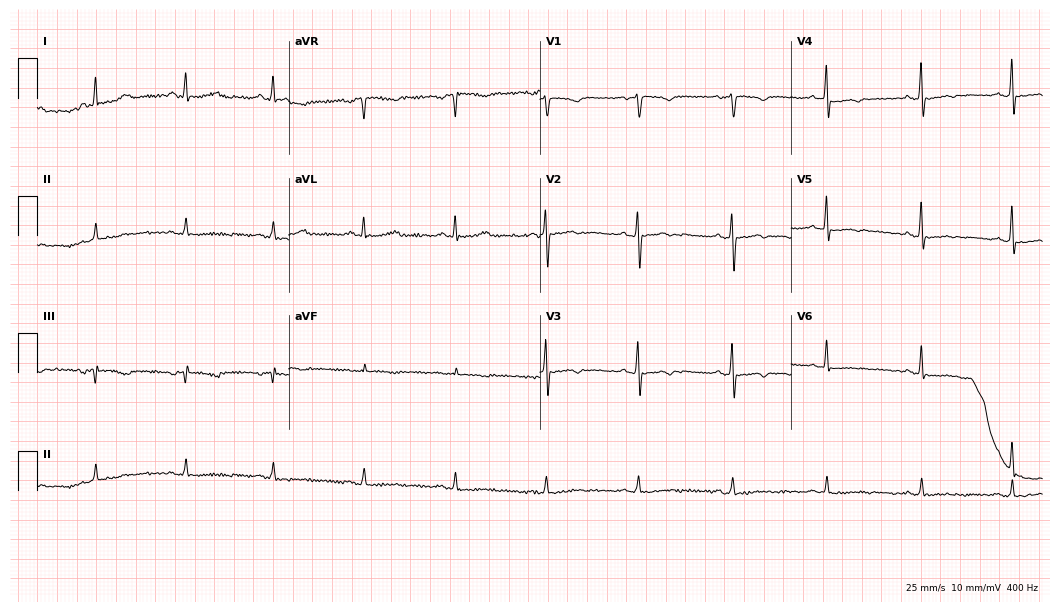
12-lead ECG from a female, 43 years old. Screened for six findings — first-degree AV block, right bundle branch block, left bundle branch block, sinus bradycardia, atrial fibrillation, sinus tachycardia — none is recorded.